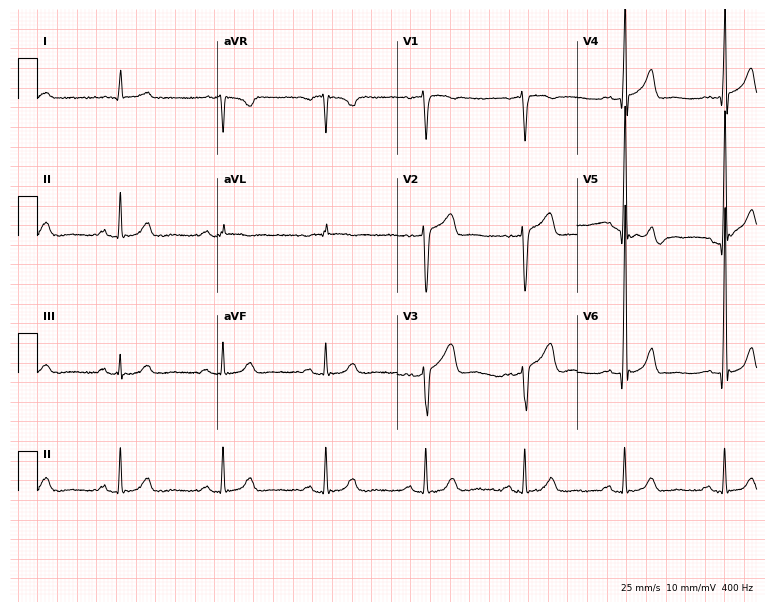
Standard 12-lead ECG recorded from a man, 77 years old (7.3-second recording at 400 Hz). None of these six findings is recorded: first-degree AV block, right bundle branch block (RBBB), left bundle branch block (LBBB), sinus bradycardia, atrial fibrillation (AF), sinus tachycardia. Only these six findings were labelled.